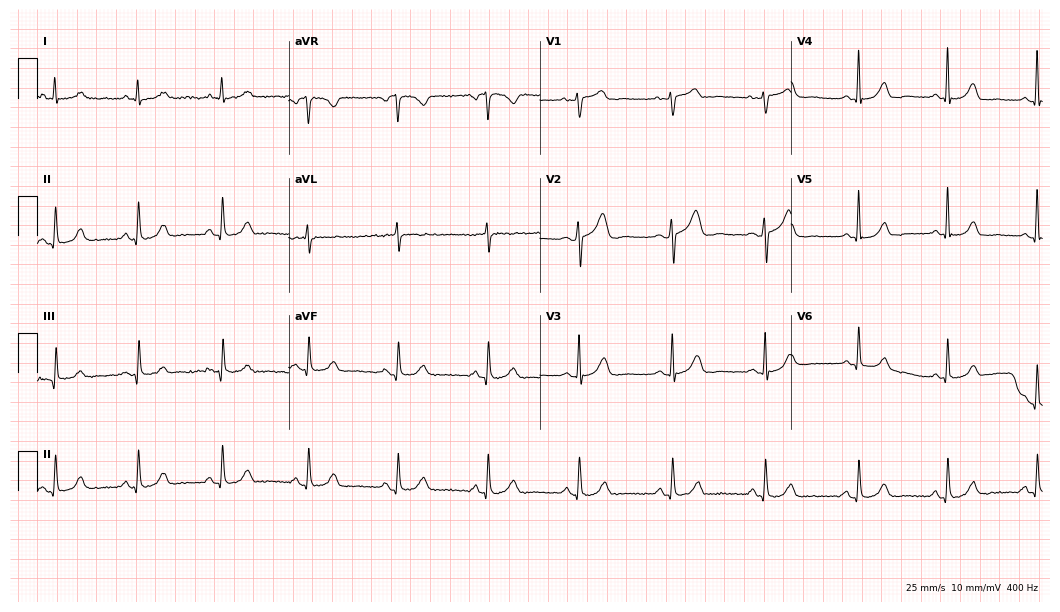
12-lead ECG (10.2-second recording at 400 Hz) from a 47-year-old woman. Labelled as a normal ECG.